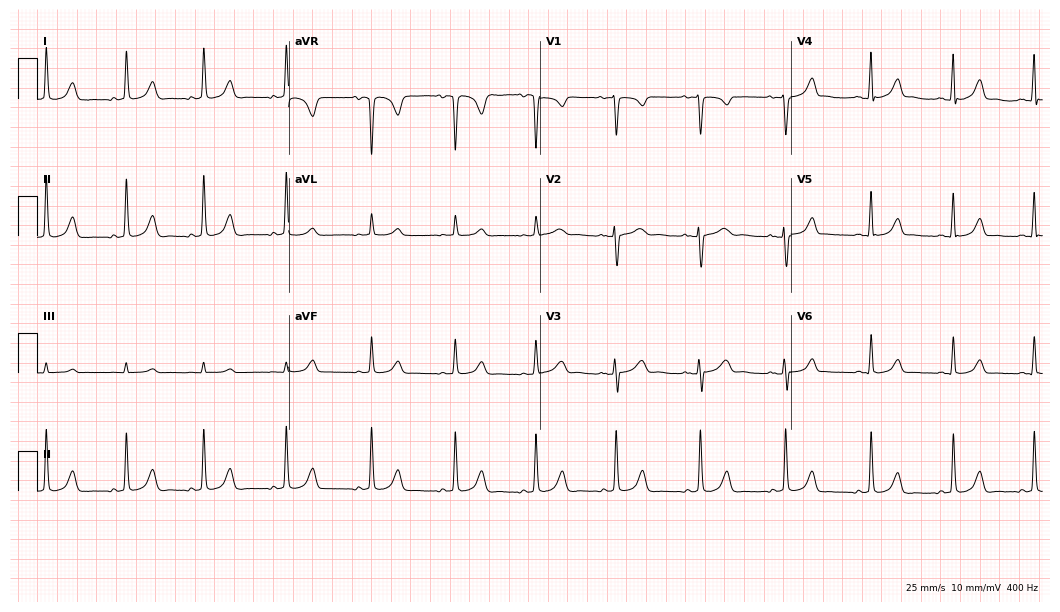
Resting 12-lead electrocardiogram (10.2-second recording at 400 Hz). Patient: a female, 23 years old. Read as a normal ECG.